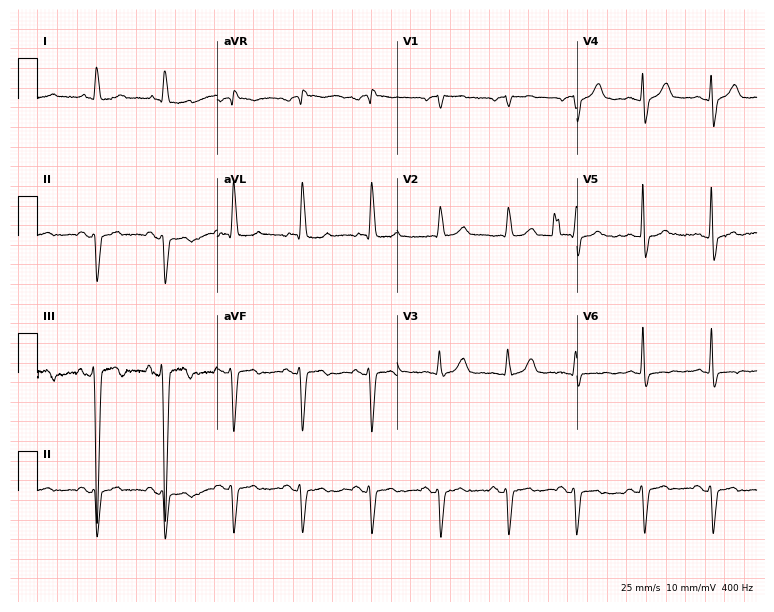
Resting 12-lead electrocardiogram (7.3-second recording at 400 Hz). Patient: a 78-year-old man. None of these six findings is recorded: first-degree AV block, right bundle branch block, left bundle branch block, sinus bradycardia, atrial fibrillation, sinus tachycardia. Only these six findings were labelled.